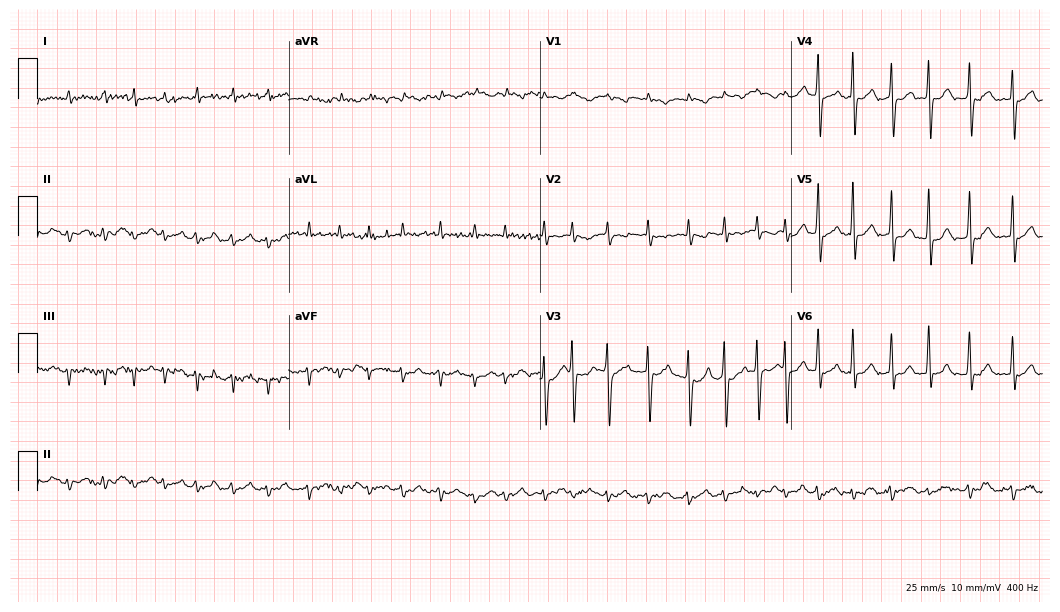
12-lead ECG from an 82-year-old man. Shows atrial fibrillation.